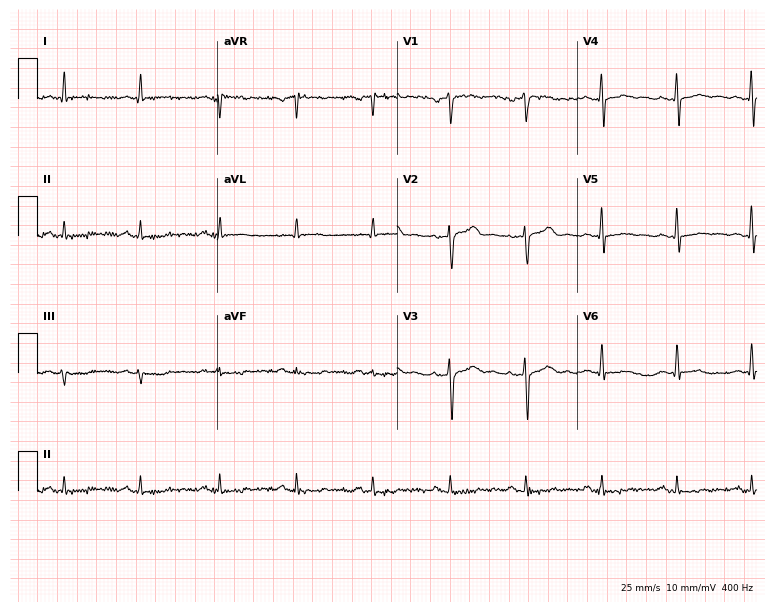
ECG (7.3-second recording at 400 Hz) — a 43-year-old male. Screened for six findings — first-degree AV block, right bundle branch block, left bundle branch block, sinus bradycardia, atrial fibrillation, sinus tachycardia — none is recorded. Findings outside these six are not listed.